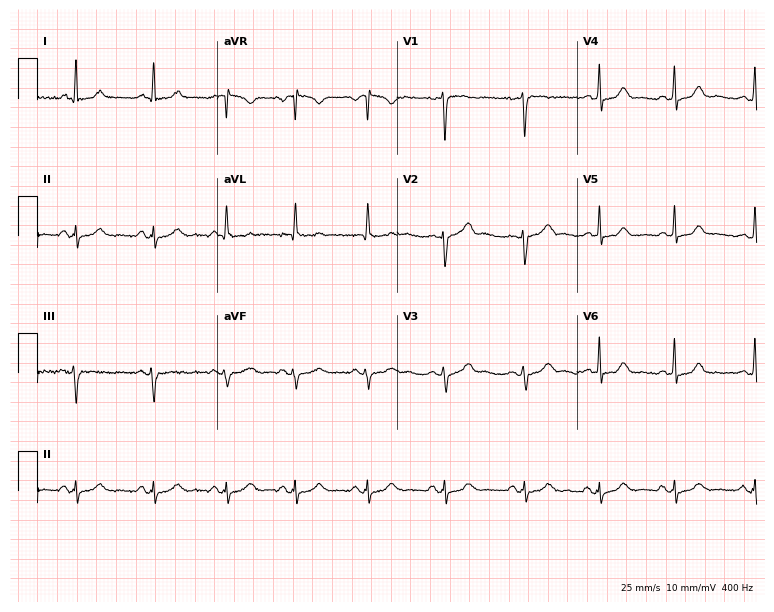
12-lead ECG (7.3-second recording at 400 Hz) from a female patient, 37 years old. Screened for six findings — first-degree AV block, right bundle branch block, left bundle branch block, sinus bradycardia, atrial fibrillation, sinus tachycardia — none is recorded.